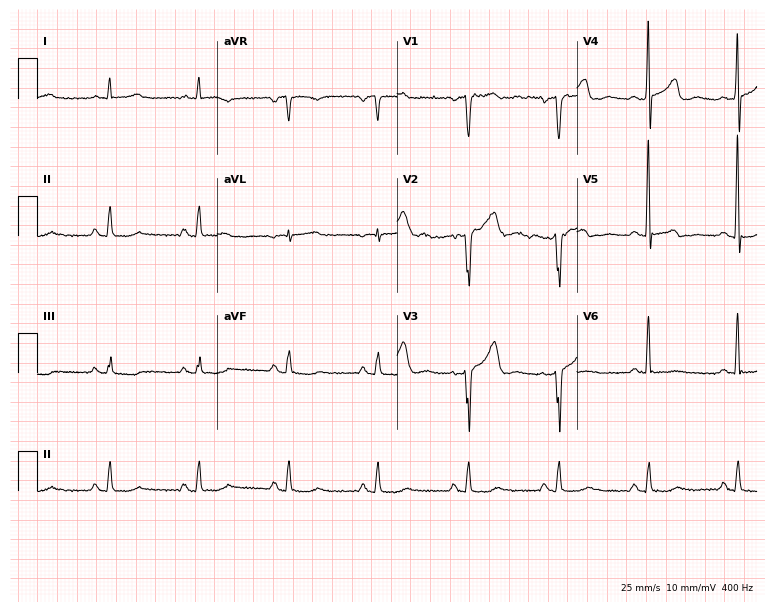
ECG (7.3-second recording at 400 Hz) — a 73-year-old male. Screened for six findings — first-degree AV block, right bundle branch block (RBBB), left bundle branch block (LBBB), sinus bradycardia, atrial fibrillation (AF), sinus tachycardia — none is recorded. Other findings, if any, are not listed.